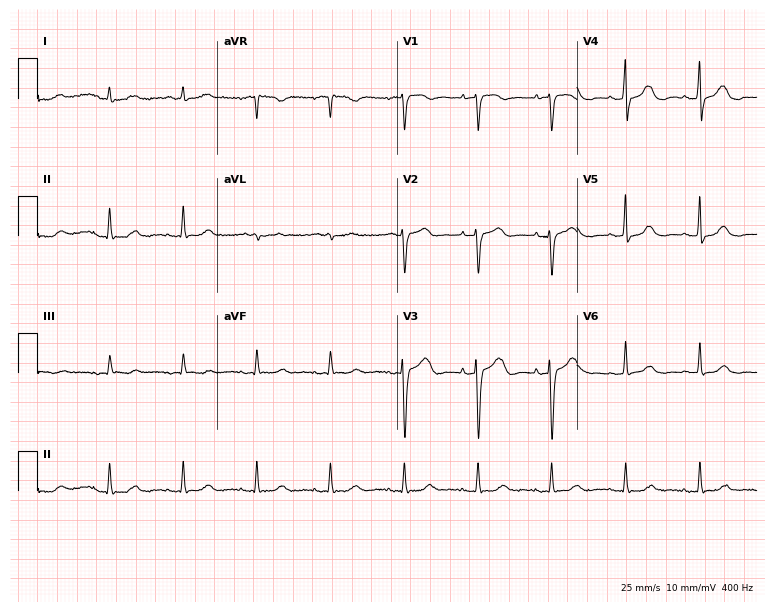
ECG (7.3-second recording at 400 Hz) — a female patient, 78 years old. Labelled as a normal ECG.